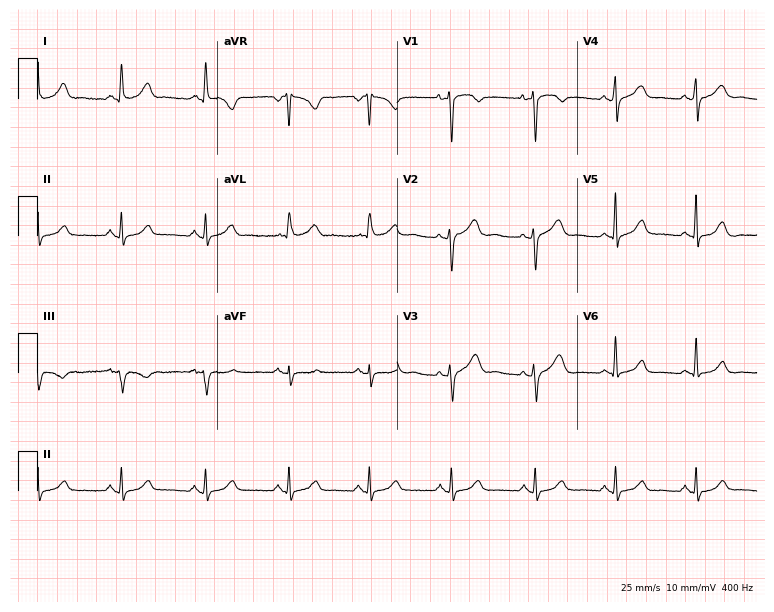
Resting 12-lead electrocardiogram. Patient: a female, 43 years old. Read as a normal ECG.